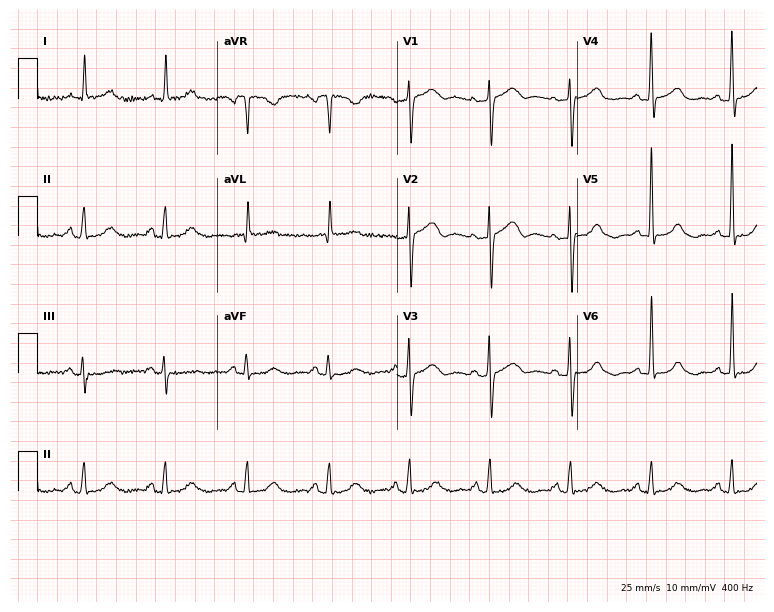
Electrocardiogram, a female patient, 81 years old. Overall reading on record: normal ECG.